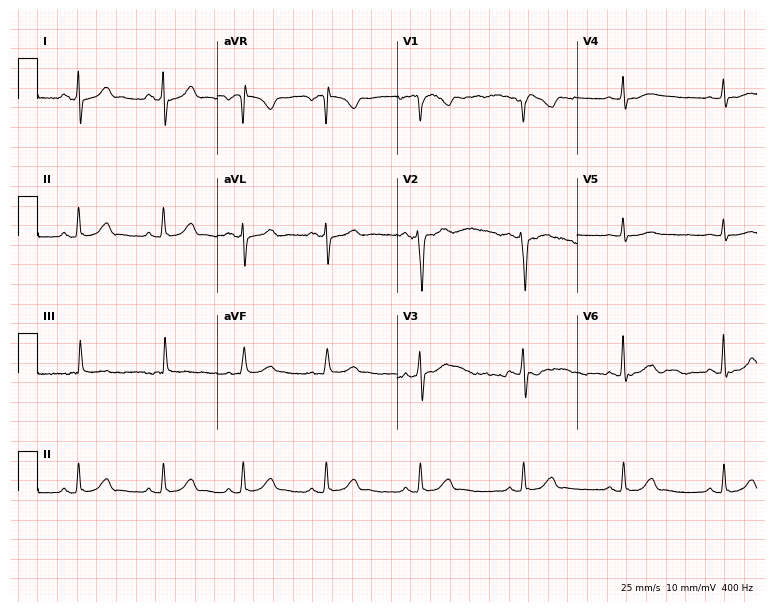
Standard 12-lead ECG recorded from a 35-year-old male. Read as a normal ECG.